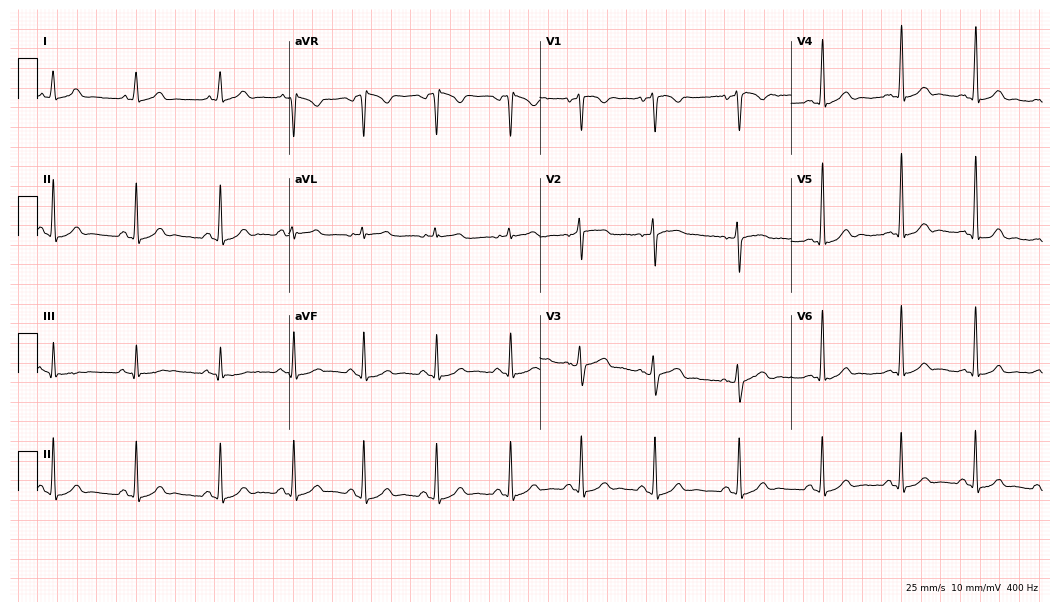
ECG — a 28-year-old female. Labelled as a normal ECG.